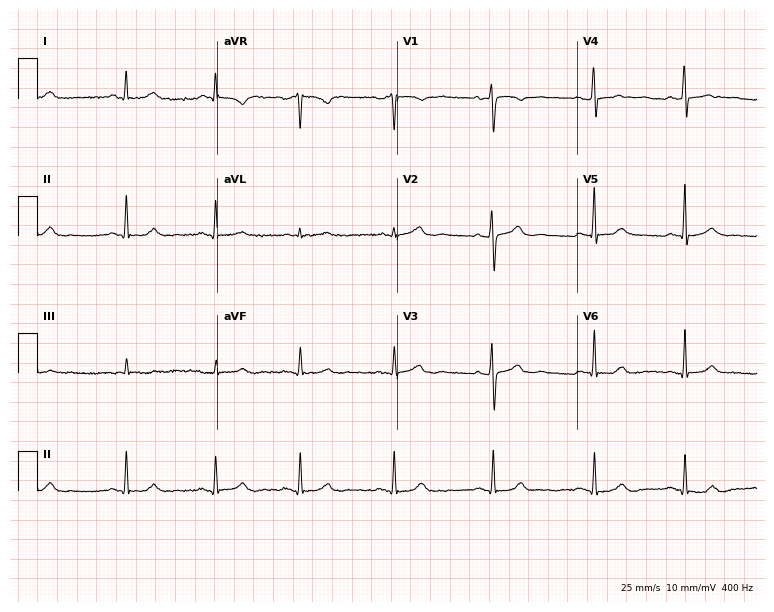
Standard 12-lead ECG recorded from a woman, 26 years old. None of these six findings is recorded: first-degree AV block, right bundle branch block, left bundle branch block, sinus bradycardia, atrial fibrillation, sinus tachycardia.